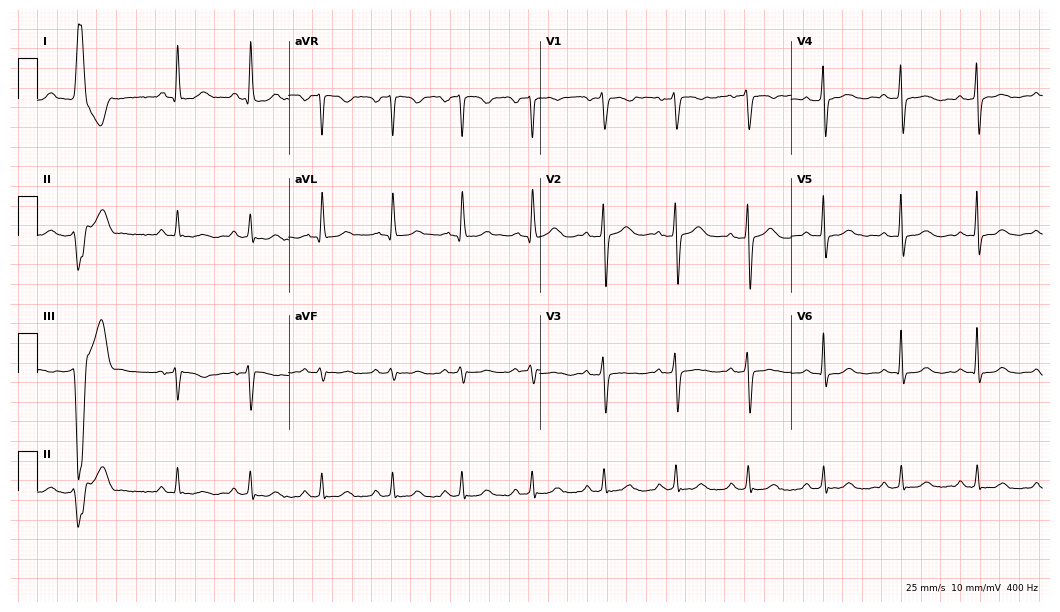
12-lead ECG from a female patient, 49 years old (10.2-second recording at 400 Hz). No first-degree AV block, right bundle branch block, left bundle branch block, sinus bradycardia, atrial fibrillation or sinus tachycardia recorded for this tracing.